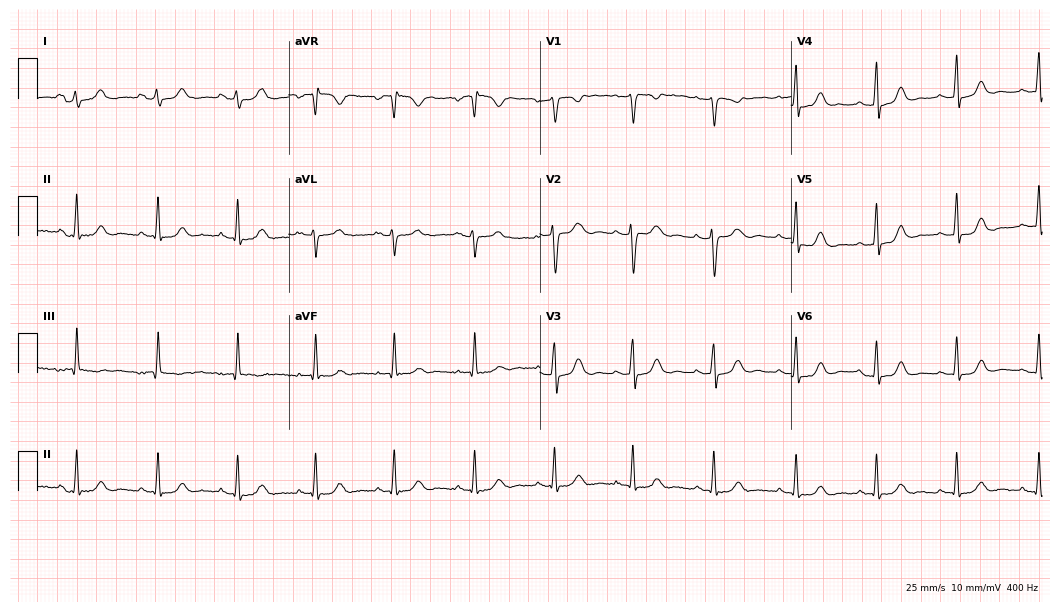
Standard 12-lead ECG recorded from a 23-year-old female patient (10.2-second recording at 400 Hz). Read as a normal ECG.